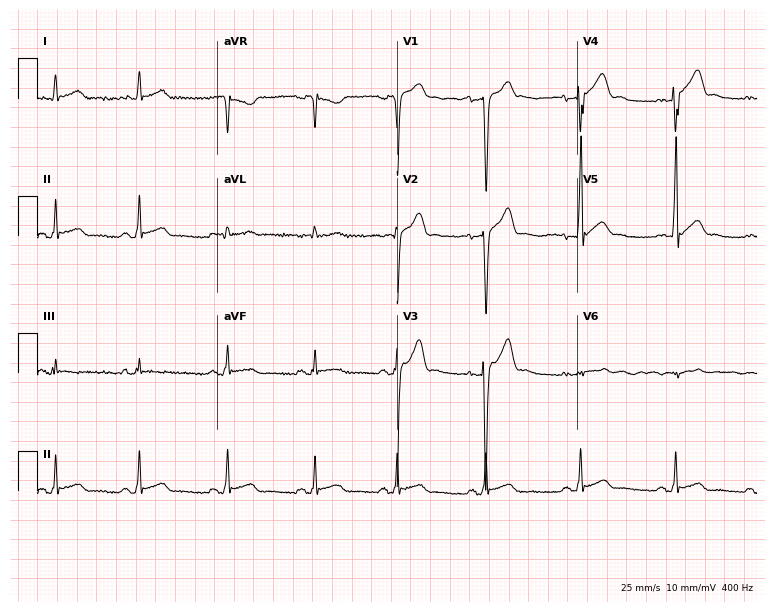
Resting 12-lead electrocardiogram (7.3-second recording at 400 Hz). Patient: a male, 29 years old. None of these six findings is recorded: first-degree AV block, right bundle branch block, left bundle branch block, sinus bradycardia, atrial fibrillation, sinus tachycardia.